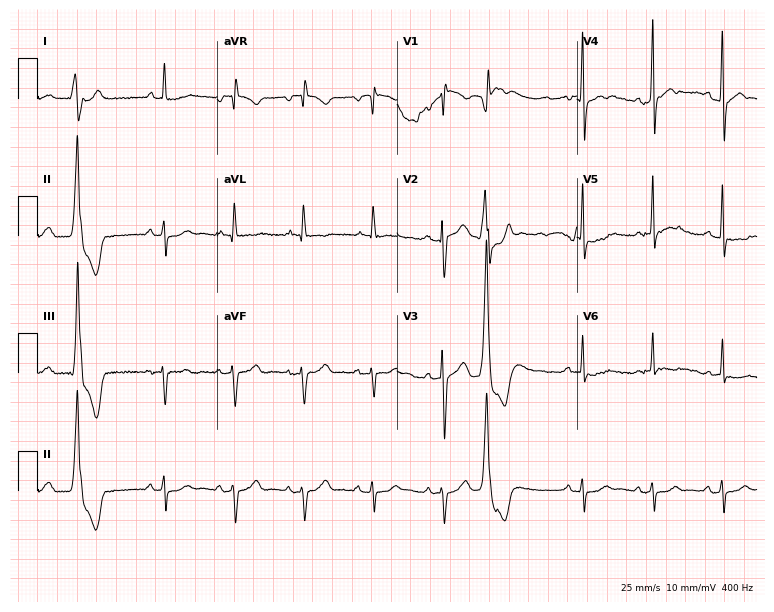
ECG (7.3-second recording at 400 Hz) — a man, 79 years old. Screened for six findings — first-degree AV block, right bundle branch block, left bundle branch block, sinus bradycardia, atrial fibrillation, sinus tachycardia — none is recorded.